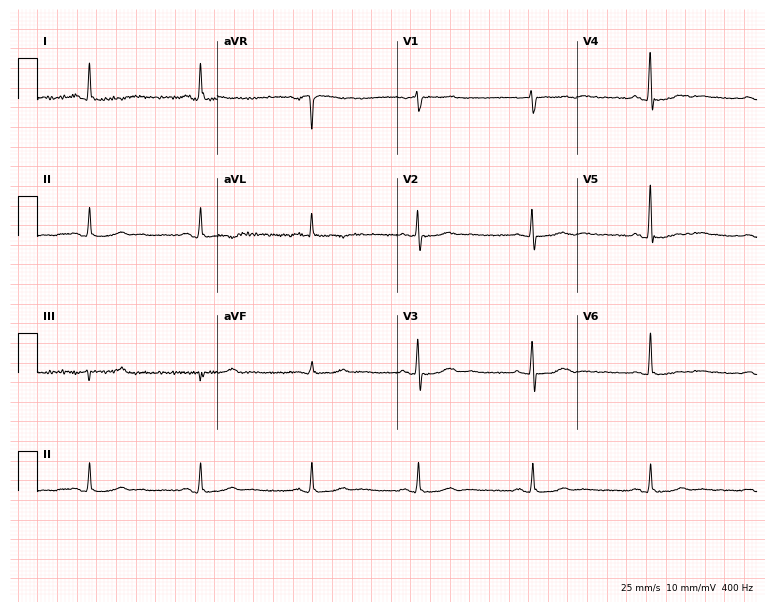
Electrocardiogram (7.3-second recording at 400 Hz), a 61-year-old female. Of the six screened findings (first-degree AV block, right bundle branch block, left bundle branch block, sinus bradycardia, atrial fibrillation, sinus tachycardia), none is recorded.